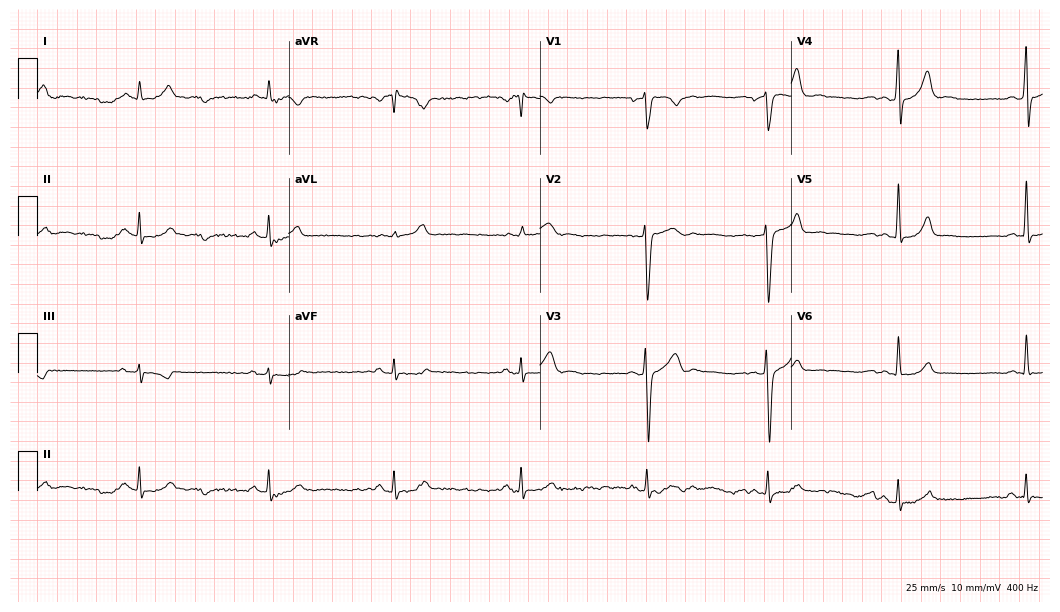
Electrocardiogram, a 49-year-old male patient. Overall reading on record: normal ECG.